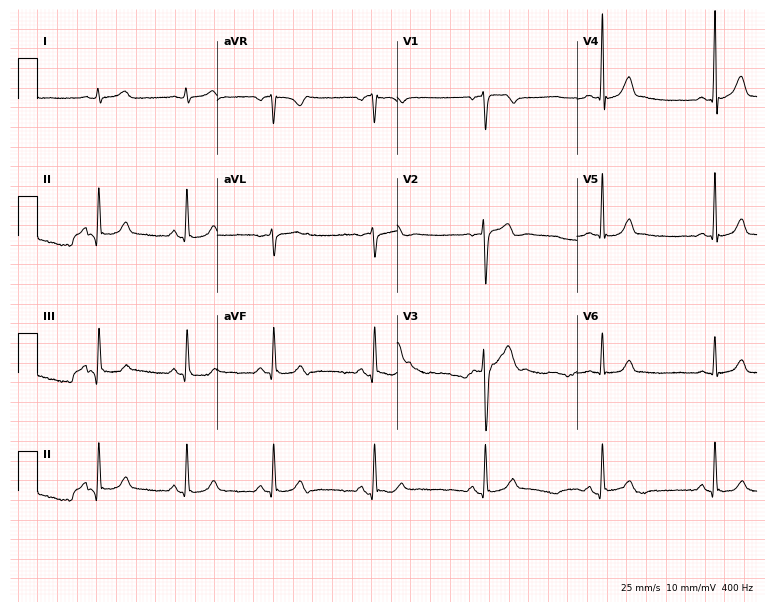
12-lead ECG from a 38-year-old man (7.3-second recording at 400 Hz). Recorded interpretation: within normal limits.